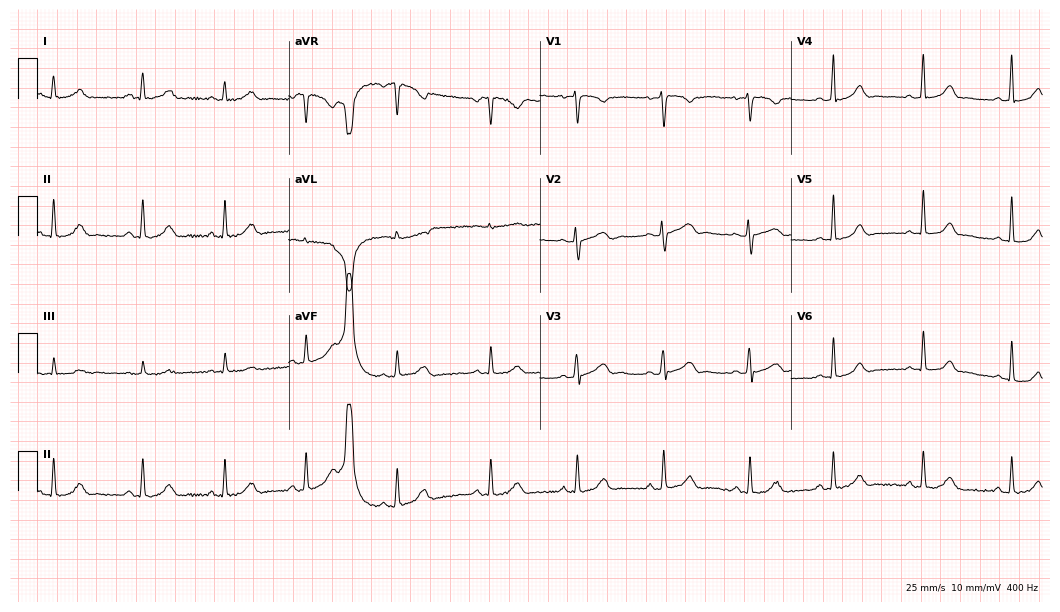
12-lead ECG from a 30-year-old female patient. No first-degree AV block, right bundle branch block, left bundle branch block, sinus bradycardia, atrial fibrillation or sinus tachycardia recorded for this tracing. Findings outside these six are not listed.